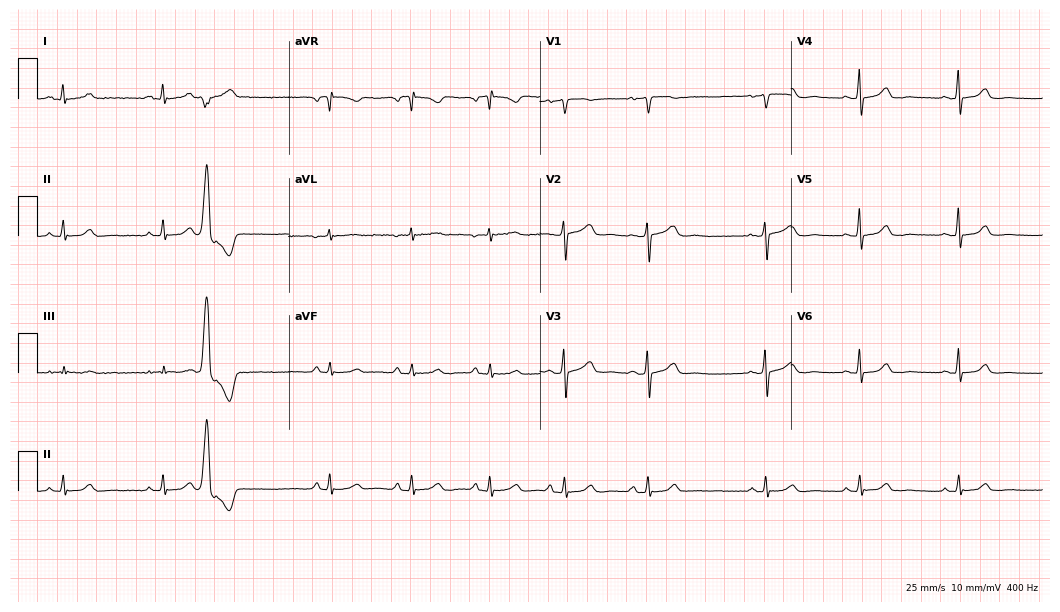
12-lead ECG (10.2-second recording at 400 Hz) from a female, 42 years old. Screened for six findings — first-degree AV block, right bundle branch block, left bundle branch block, sinus bradycardia, atrial fibrillation, sinus tachycardia — none is recorded.